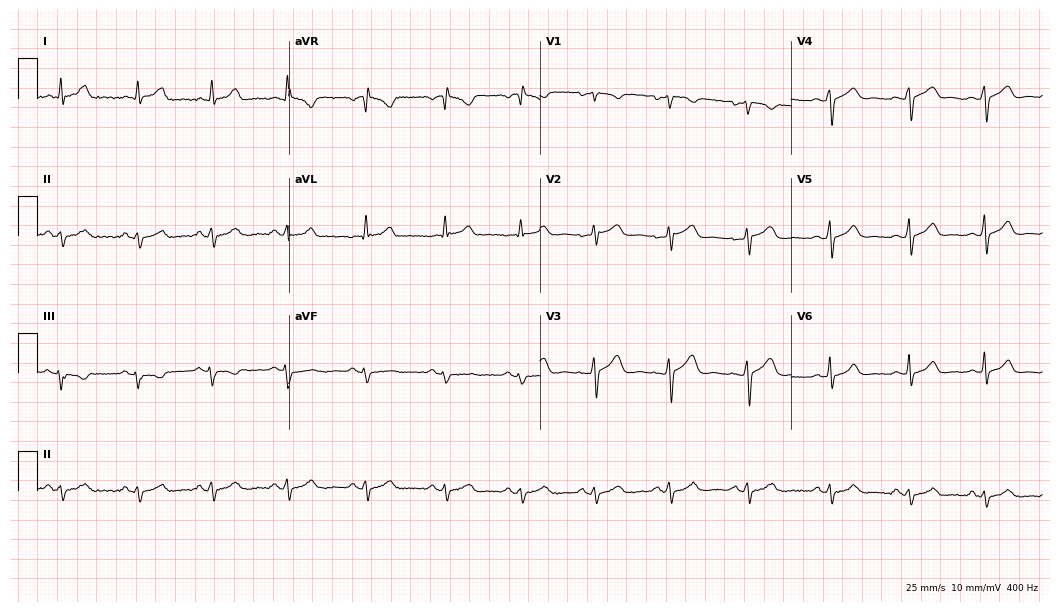
Electrocardiogram, a female, 30 years old. Of the six screened findings (first-degree AV block, right bundle branch block, left bundle branch block, sinus bradycardia, atrial fibrillation, sinus tachycardia), none is recorded.